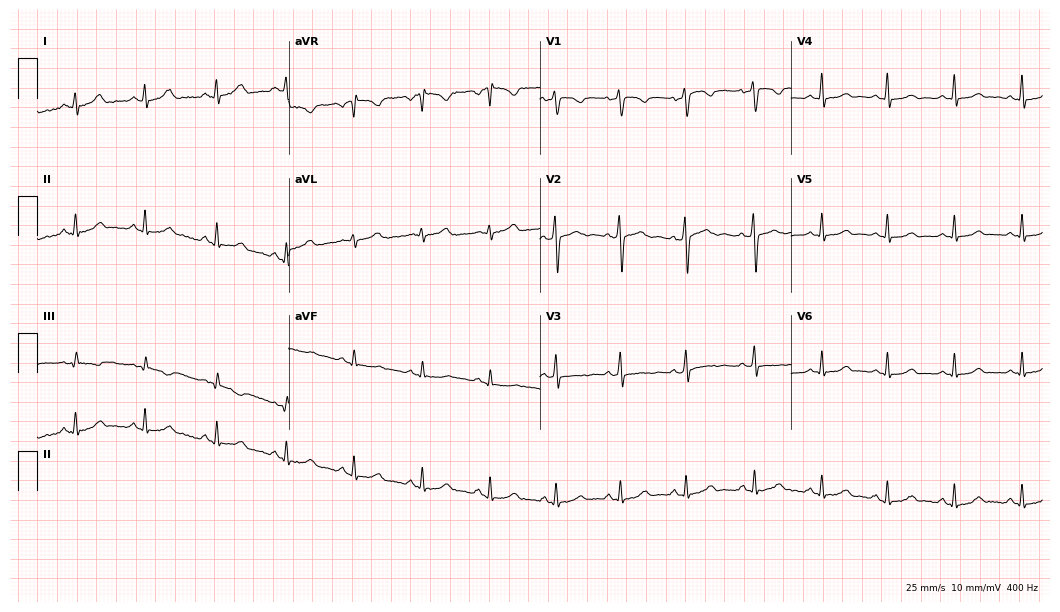
Electrocardiogram, a 38-year-old woman. Overall reading on record: normal ECG.